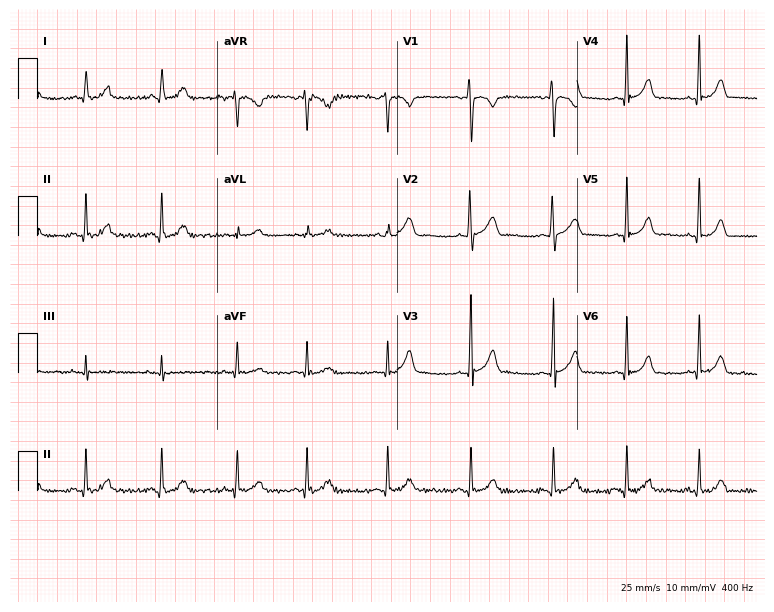
Standard 12-lead ECG recorded from a 20-year-old female patient (7.3-second recording at 400 Hz). None of these six findings is recorded: first-degree AV block, right bundle branch block (RBBB), left bundle branch block (LBBB), sinus bradycardia, atrial fibrillation (AF), sinus tachycardia.